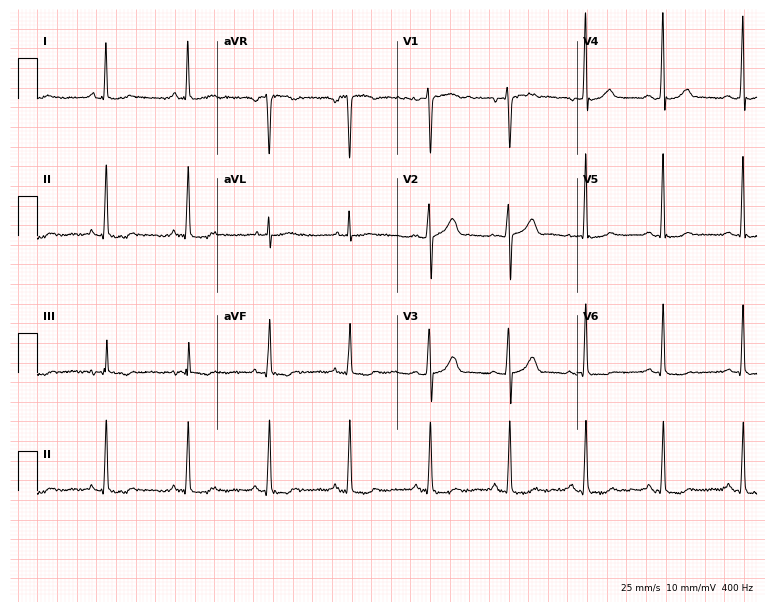
12-lead ECG from a 39-year-old female (7.3-second recording at 400 Hz). No first-degree AV block, right bundle branch block, left bundle branch block, sinus bradycardia, atrial fibrillation or sinus tachycardia recorded for this tracing. Findings outside these six are not listed.